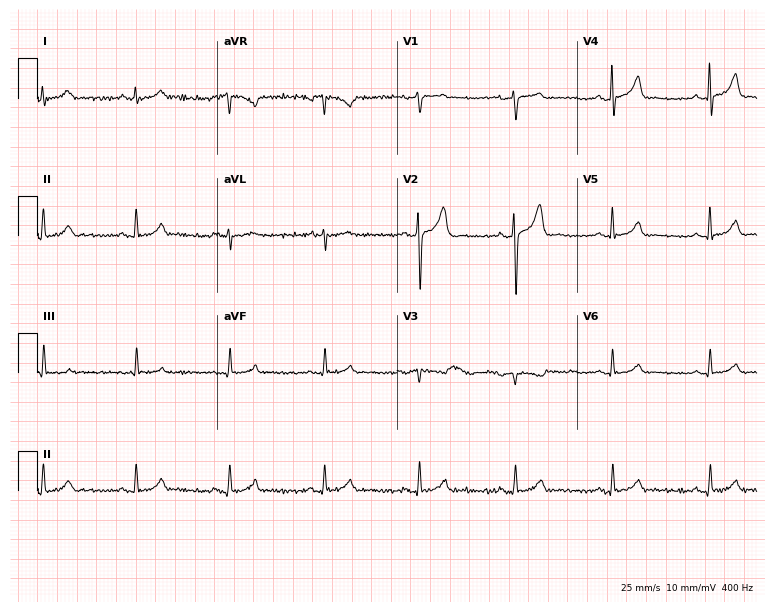
12-lead ECG from a male patient, 61 years old. No first-degree AV block, right bundle branch block (RBBB), left bundle branch block (LBBB), sinus bradycardia, atrial fibrillation (AF) or sinus tachycardia recorded for this tracing. Only these six findings were labelled.